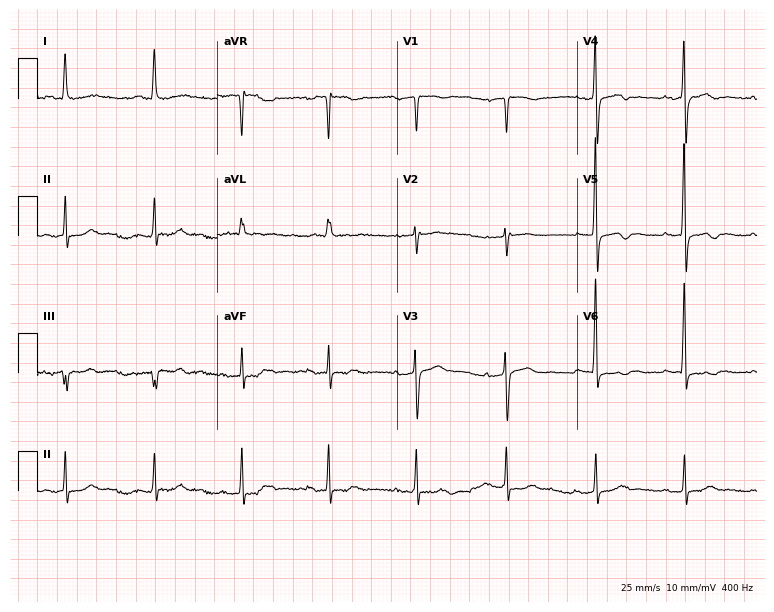
Standard 12-lead ECG recorded from a female, 57 years old. None of these six findings is recorded: first-degree AV block, right bundle branch block, left bundle branch block, sinus bradycardia, atrial fibrillation, sinus tachycardia. Only these six findings were labelled.